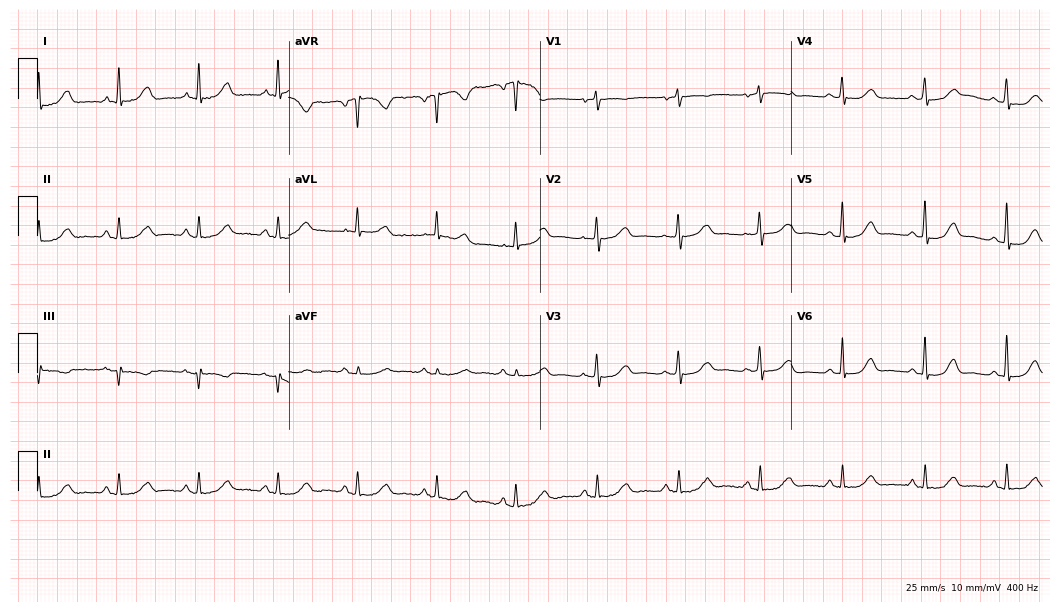
Electrocardiogram, a female patient, 74 years old. Overall reading on record: normal ECG.